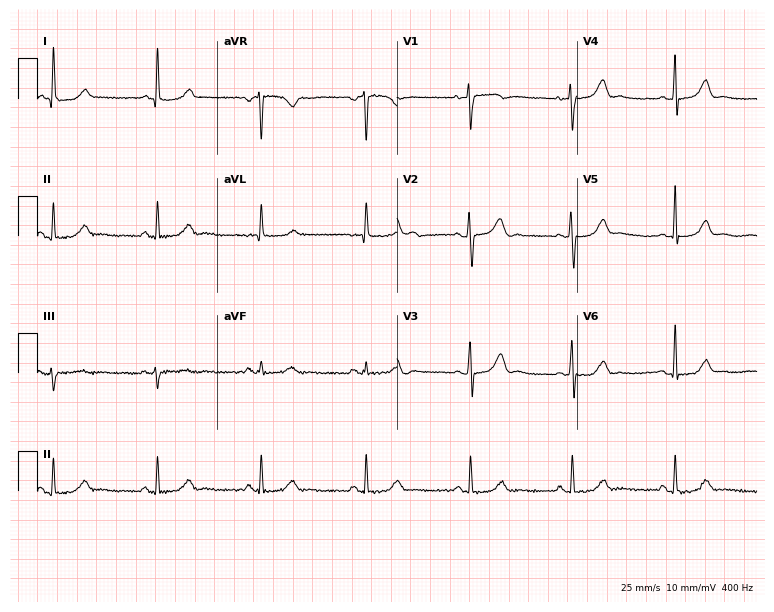
12-lead ECG from a female patient, 61 years old (7.3-second recording at 400 Hz). No first-degree AV block, right bundle branch block, left bundle branch block, sinus bradycardia, atrial fibrillation or sinus tachycardia recorded for this tracing. Only these six findings were labelled.